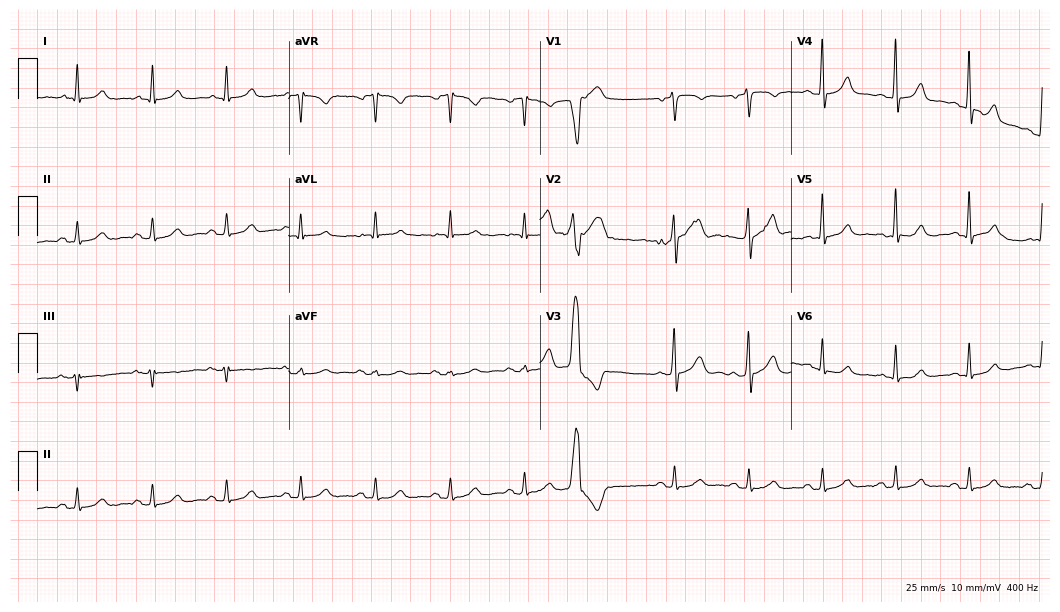
12-lead ECG (10.2-second recording at 400 Hz) from a male patient, 70 years old. Screened for six findings — first-degree AV block, right bundle branch block, left bundle branch block, sinus bradycardia, atrial fibrillation, sinus tachycardia — none is recorded.